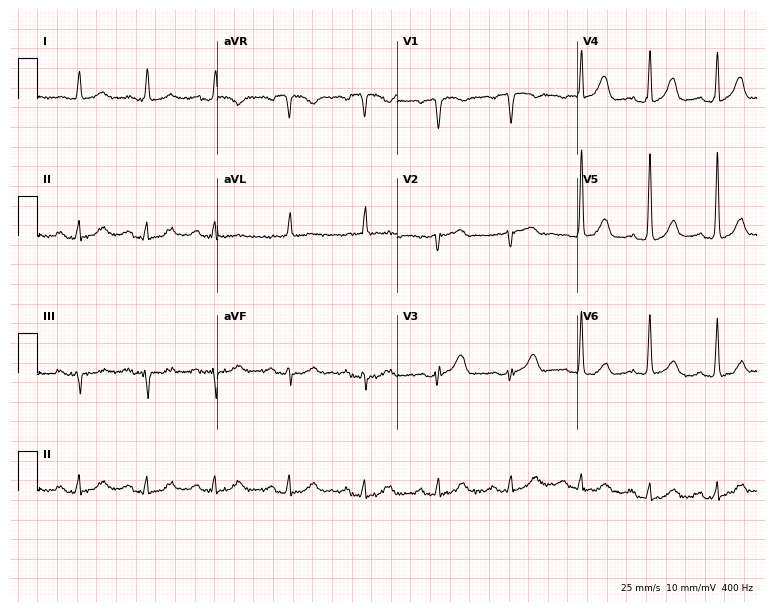
12-lead ECG from a female patient, 82 years old. Labelled as a normal ECG.